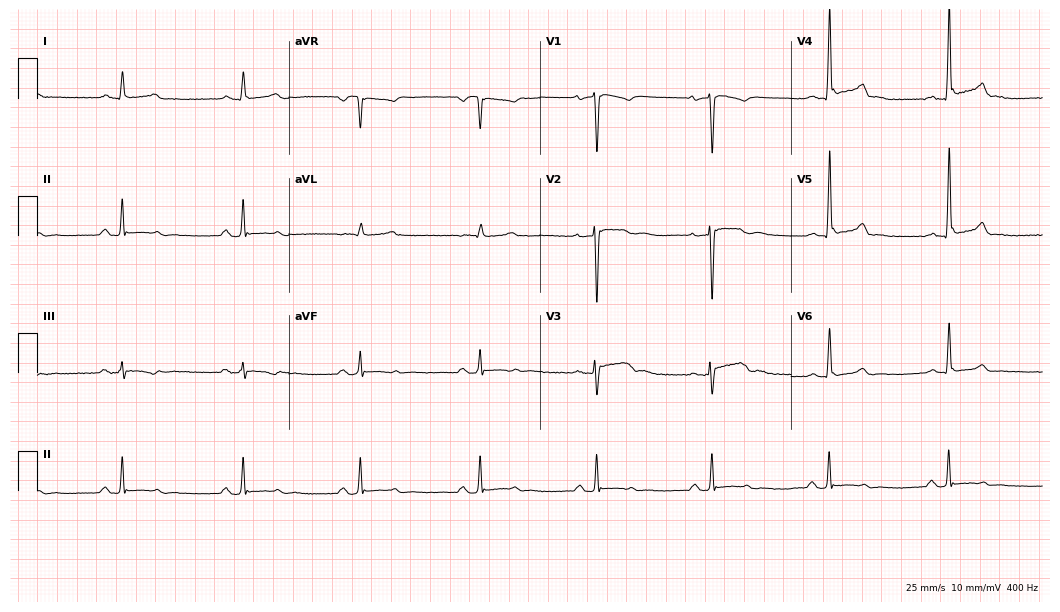
12-lead ECG from a male, 43 years old (10.2-second recording at 400 Hz). Recorded interpretation: within normal limits.